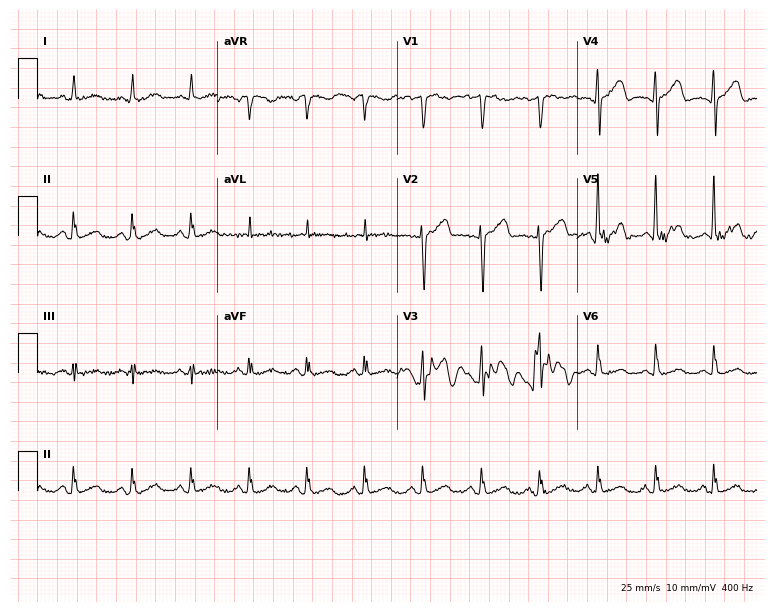
Electrocardiogram, a 51-year-old female patient. Overall reading on record: normal ECG.